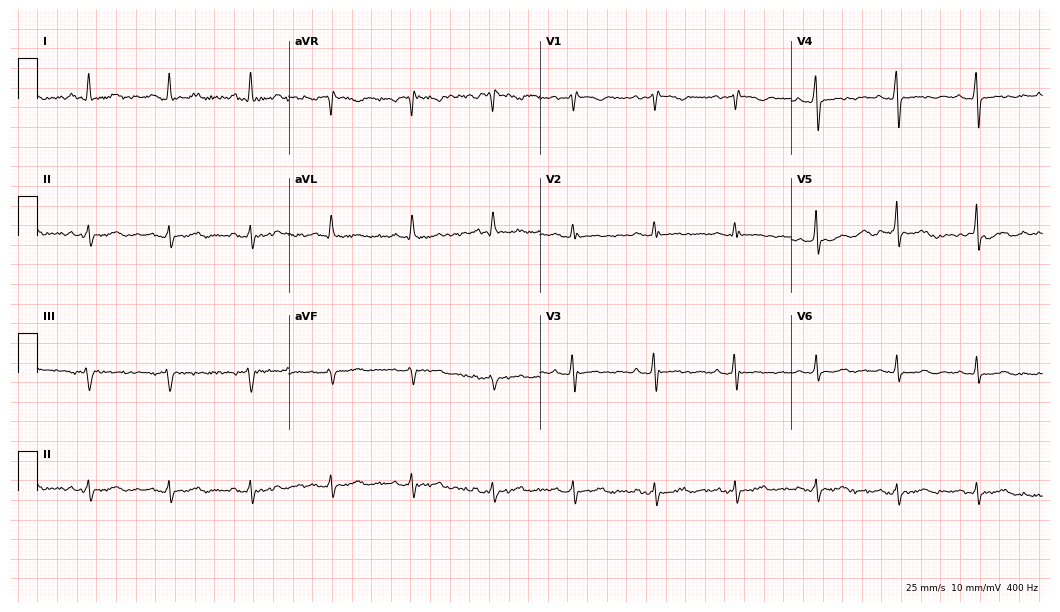
Electrocardiogram, a female, 61 years old. Of the six screened findings (first-degree AV block, right bundle branch block, left bundle branch block, sinus bradycardia, atrial fibrillation, sinus tachycardia), none is recorded. Other findings, if any, are not listed.